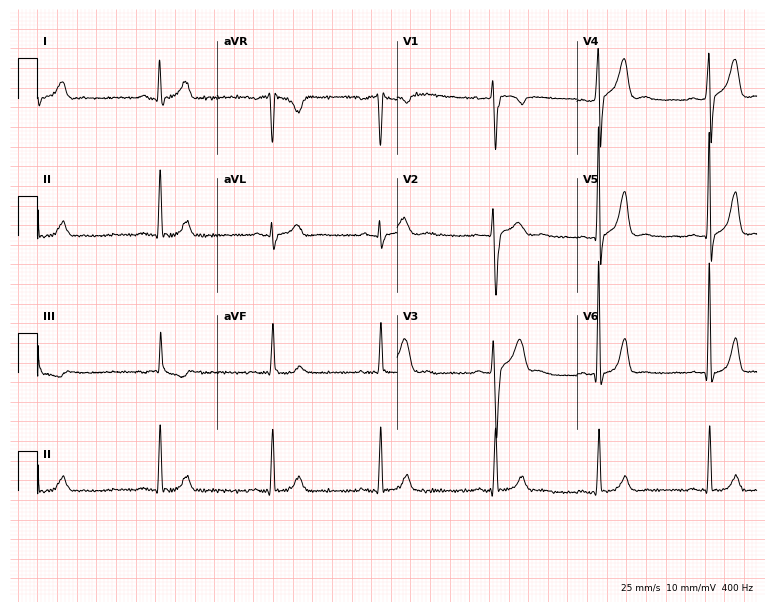
12-lead ECG from a male, 22 years old (7.3-second recording at 400 Hz). No first-degree AV block, right bundle branch block, left bundle branch block, sinus bradycardia, atrial fibrillation or sinus tachycardia recorded for this tracing. Other findings, if any, are not listed.